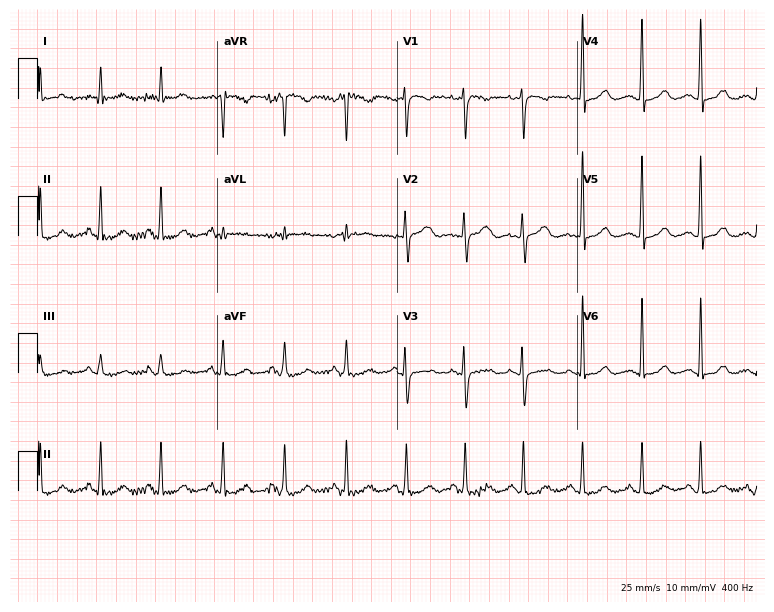
12-lead ECG from a female, 36 years old (7.3-second recording at 400 Hz). Recorded interpretation: within normal limits.